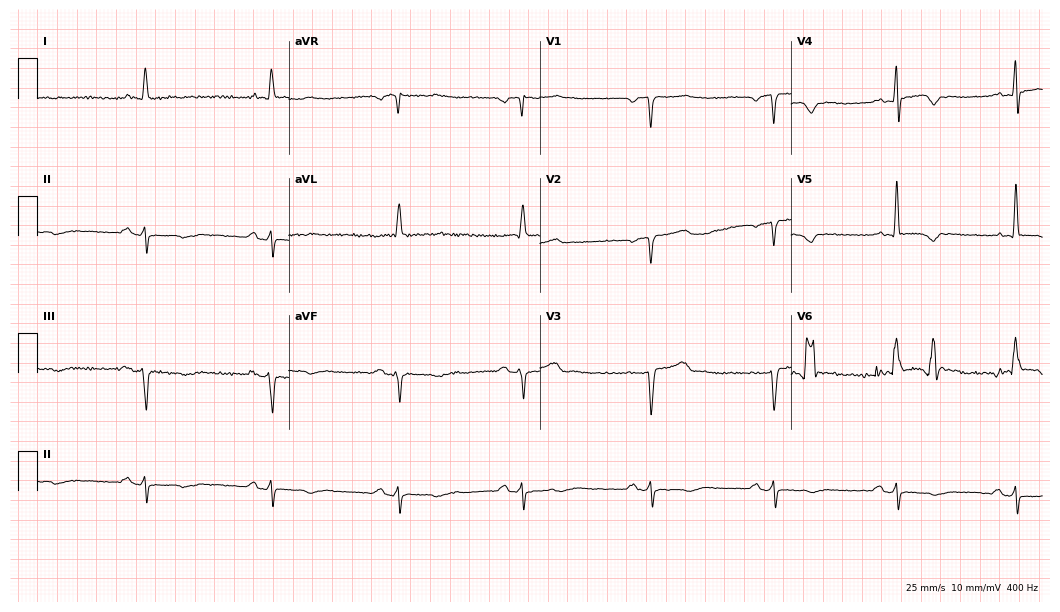
Electrocardiogram, a man, 71 years old. Of the six screened findings (first-degree AV block, right bundle branch block, left bundle branch block, sinus bradycardia, atrial fibrillation, sinus tachycardia), none is recorded.